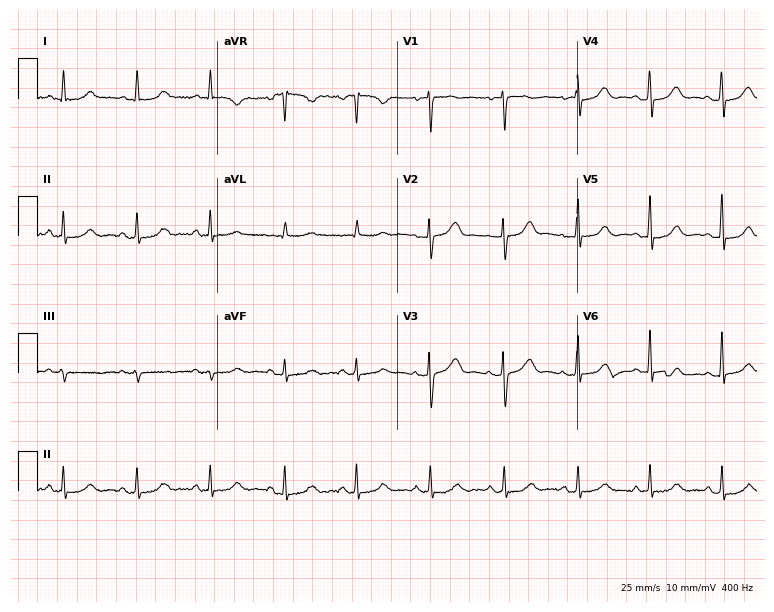
Standard 12-lead ECG recorded from a female patient, 65 years old (7.3-second recording at 400 Hz). Read as a normal ECG.